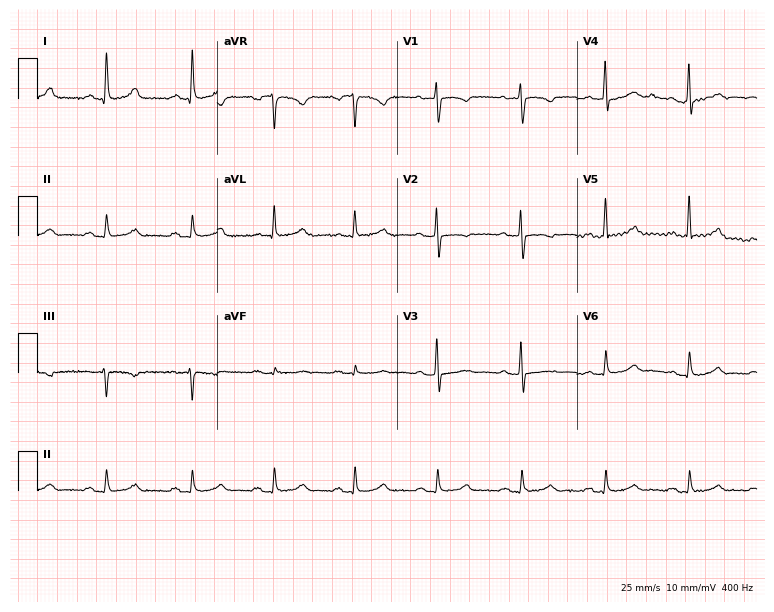
Electrocardiogram, a 53-year-old female patient. Overall reading on record: normal ECG.